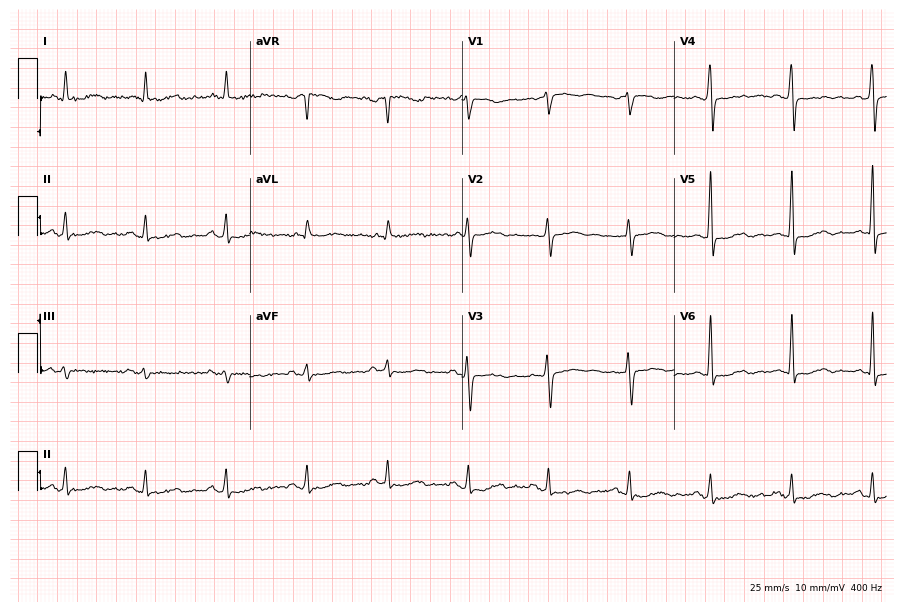
12-lead ECG from a 65-year-old female patient (8.7-second recording at 400 Hz). No first-degree AV block, right bundle branch block, left bundle branch block, sinus bradycardia, atrial fibrillation or sinus tachycardia recorded for this tracing.